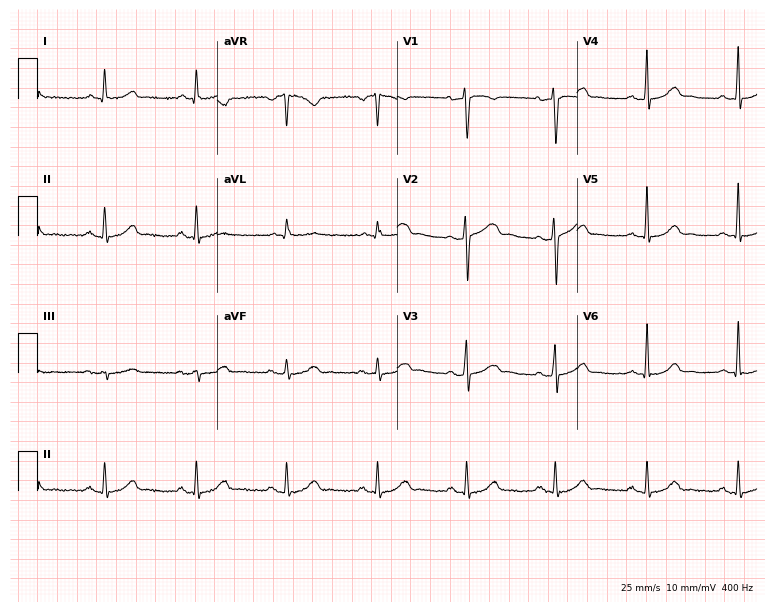
Standard 12-lead ECG recorded from a 44-year-old male patient (7.3-second recording at 400 Hz). Read as a normal ECG.